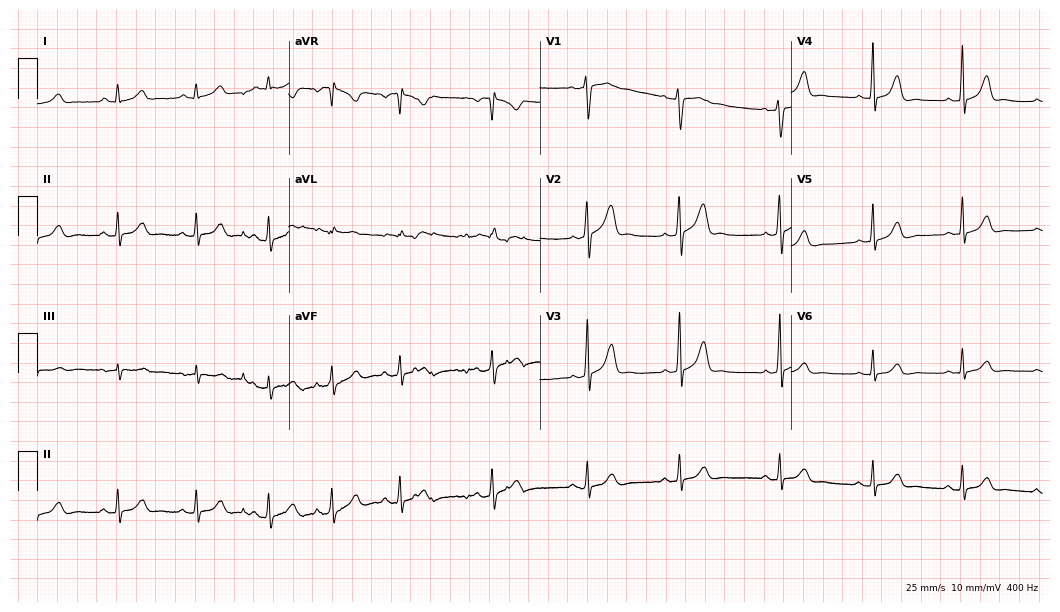
Standard 12-lead ECG recorded from a woman, 25 years old. None of these six findings is recorded: first-degree AV block, right bundle branch block (RBBB), left bundle branch block (LBBB), sinus bradycardia, atrial fibrillation (AF), sinus tachycardia.